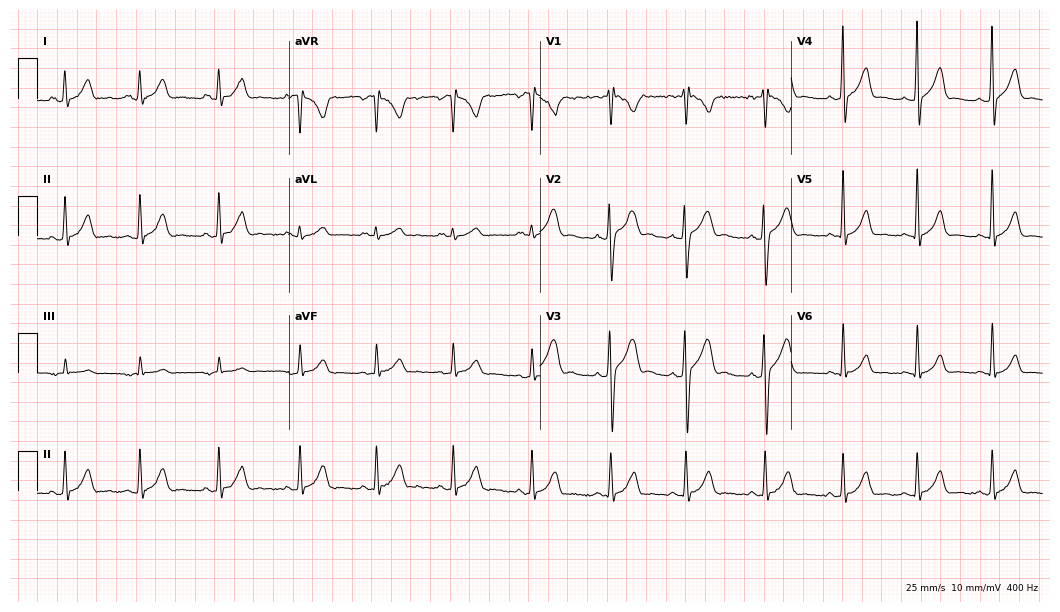
Resting 12-lead electrocardiogram. Patient: a 20-year-old male. Read as a normal ECG.